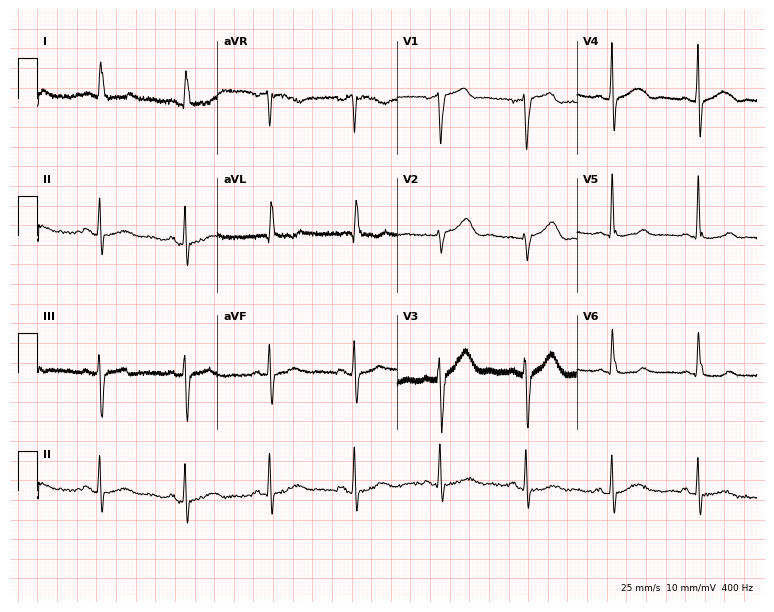
Electrocardiogram, a male patient, 85 years old. Of the six screened findings (first-degree AV block, right bundle branch block, left bundle branch block, sinus bradycardia, atrial fibrillation, sinus tachycardia), none is recorded.